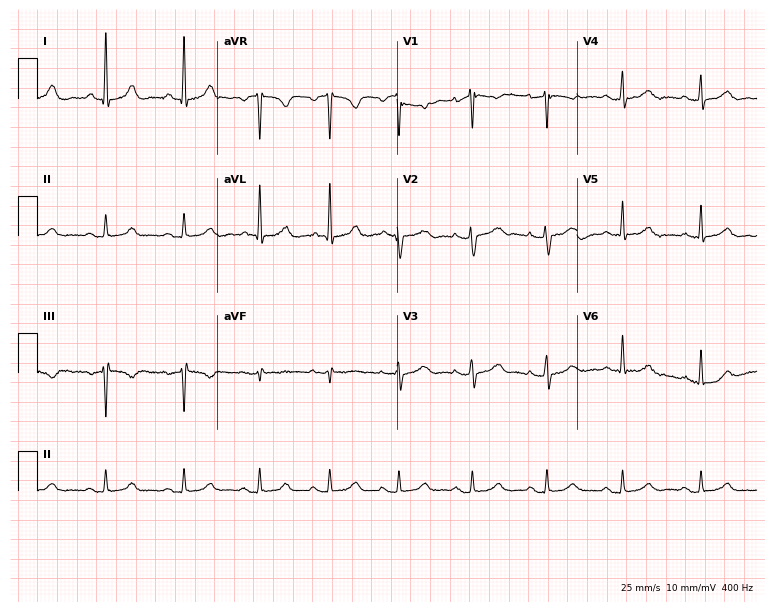
Electrocardiogram, a female, 54 years old. Of the six screened findings (first-degree AV block, right bundle branch block, left bundle branch block, sinus bradycardia, atrial fibrillation, sinus tachycardia), none is recorded. Findings outside these six are not listed.